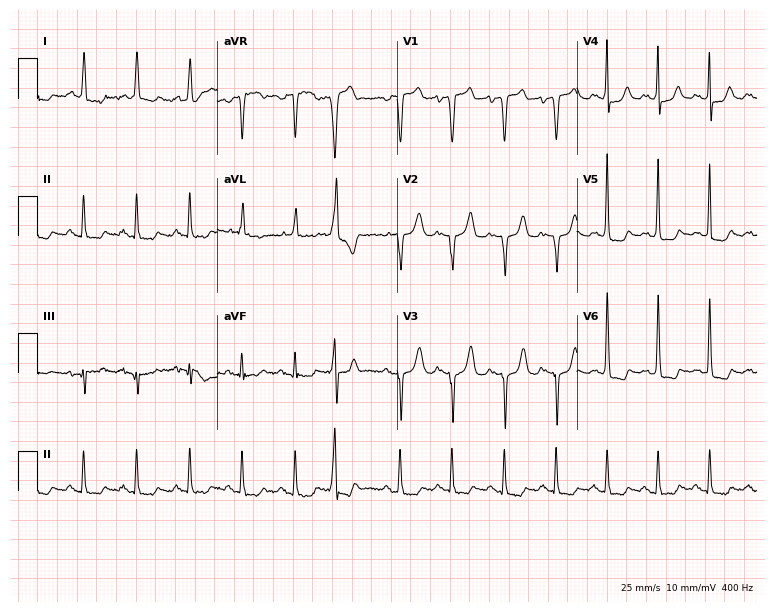
Resting 12-lead electrocardiogram. Patient: a 70-year-old female. None of these six findings is recorded: first-degree AV block, right bundle branch block, left bundle branch block, sinus bradycardia, atrial fibrillation, sinus tachycardia.